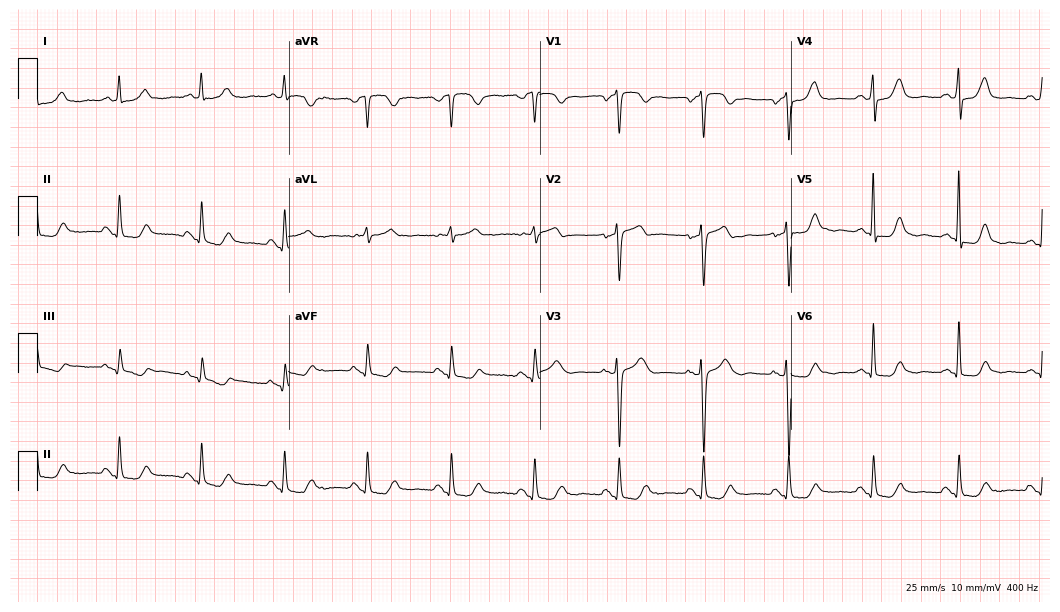
Electrocardiogram (10.2-second recording at 400 Hz), a woman, 62 years old. Of the six screened findings (first-degree AV block, right bundle branch block, left bundle branch block, sinus bradycardia, atrial fibrillation, sinus tachycardia), none is recorded. Only these six findings were labelled.